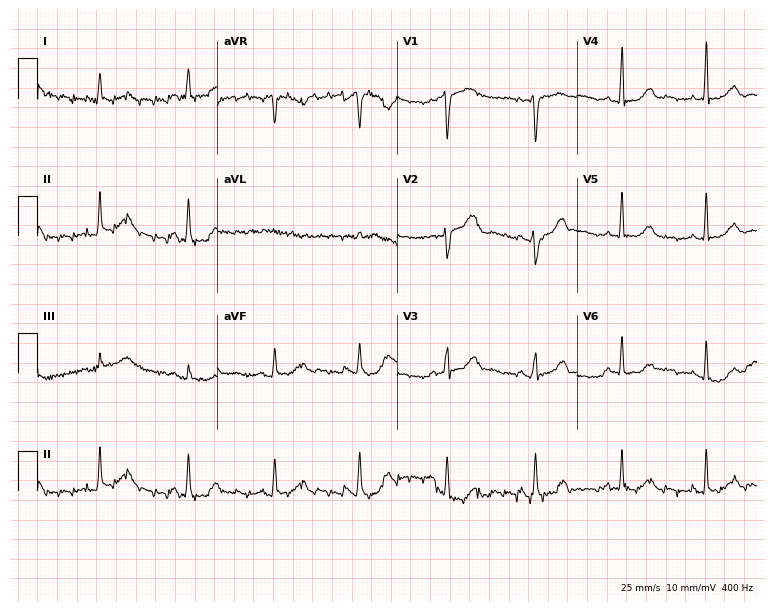
Standard 12-lead ECG recorded from a 57-year-old woman. None of these six findings is recorded: first-degree AV block, right bundle branch block, left bundle branch block, sinus bradycardia, atrial fibrillation, sinus tachycardia. Findings outside these six are not listed.